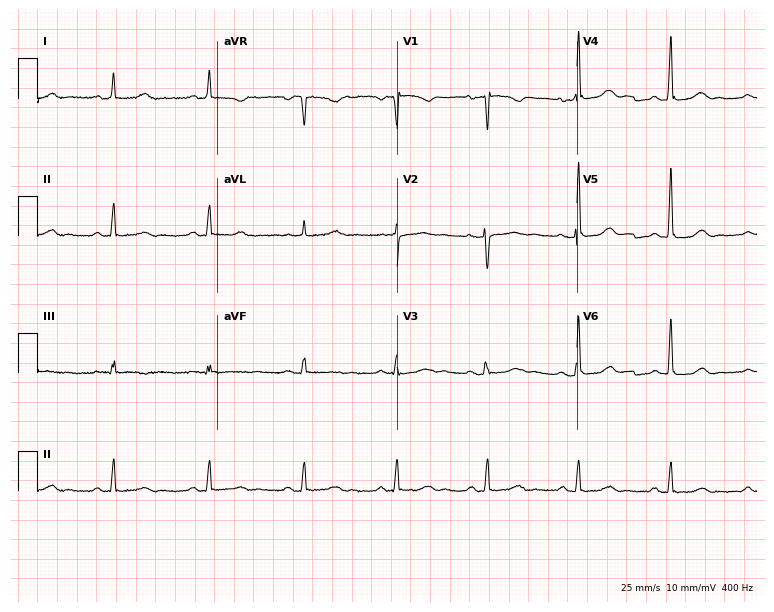
Electrocardiogram (7.3-second recording at 400 Hz), a female patient, 57 years old. Of the six screened findings (first-degree AV block, right bundle branch block (RBBB), left bundle branch block (LBBB), sinus bradycardia, atrial fibrillation (AF), sinus tachycardia), none is recorded.